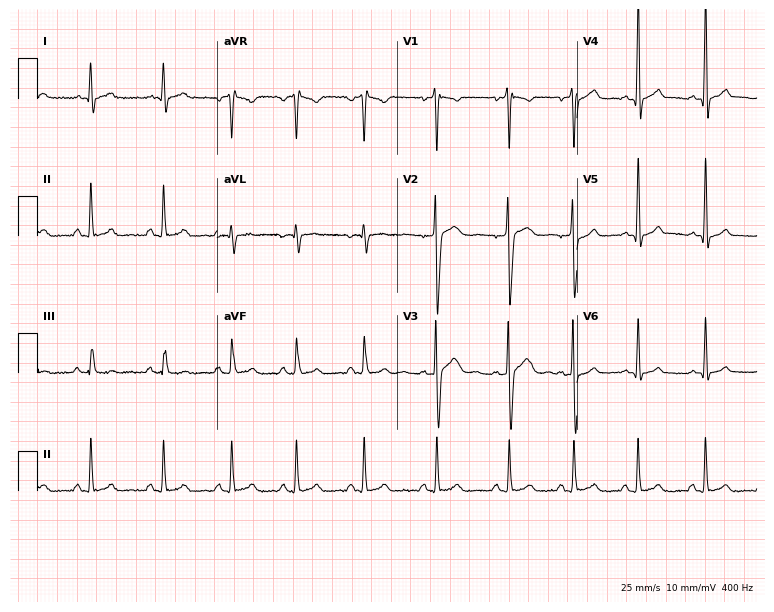
Electrocardiogram, a male patient, 17 years old. Overall reading on record: normal ECG.